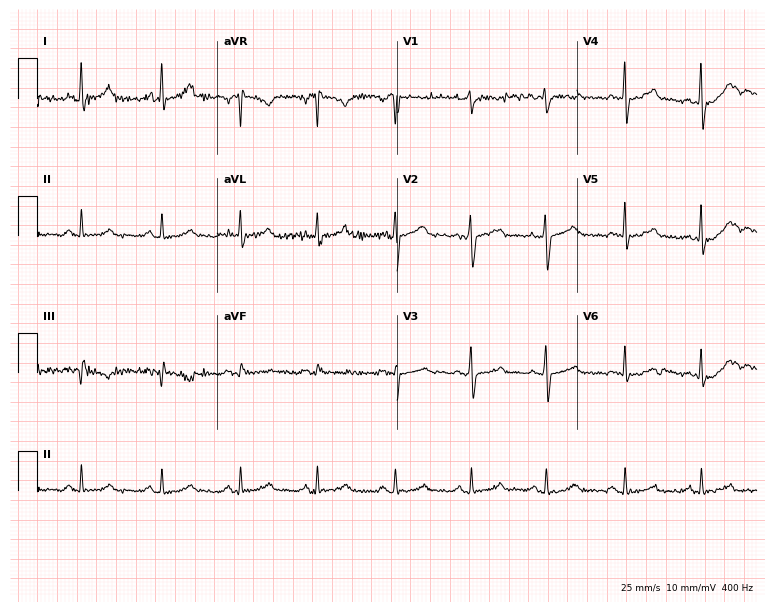
12-lead ECG from a woman, 33 years old. Screened for six findings — first-degree AV block, right bundle branch block (RBBB), left bundle branch block (LBBB), sinus bradycardia, atrial fibrillation (AF), sinus tachycardia — none is recorded.